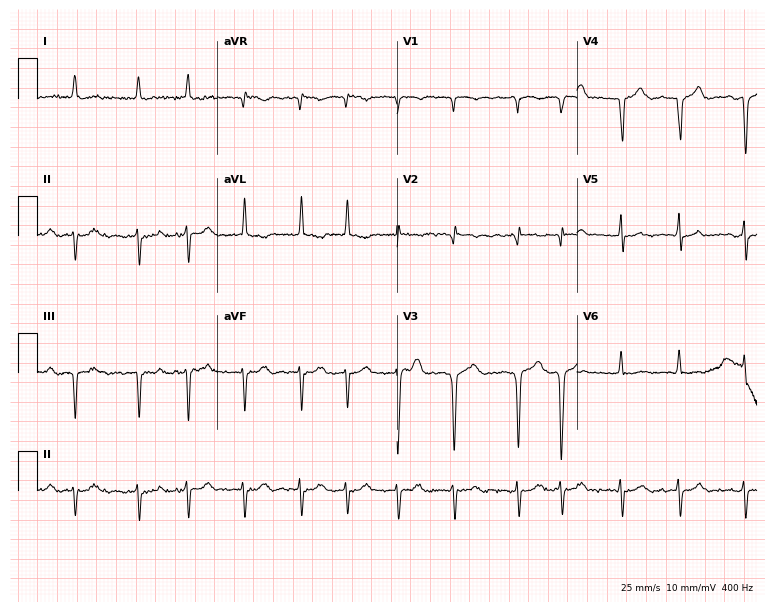
12-lead ECG (7.3-second recording at 400 Hz) from a female, 76 years old. Findings include atrial fibrillation (AF).